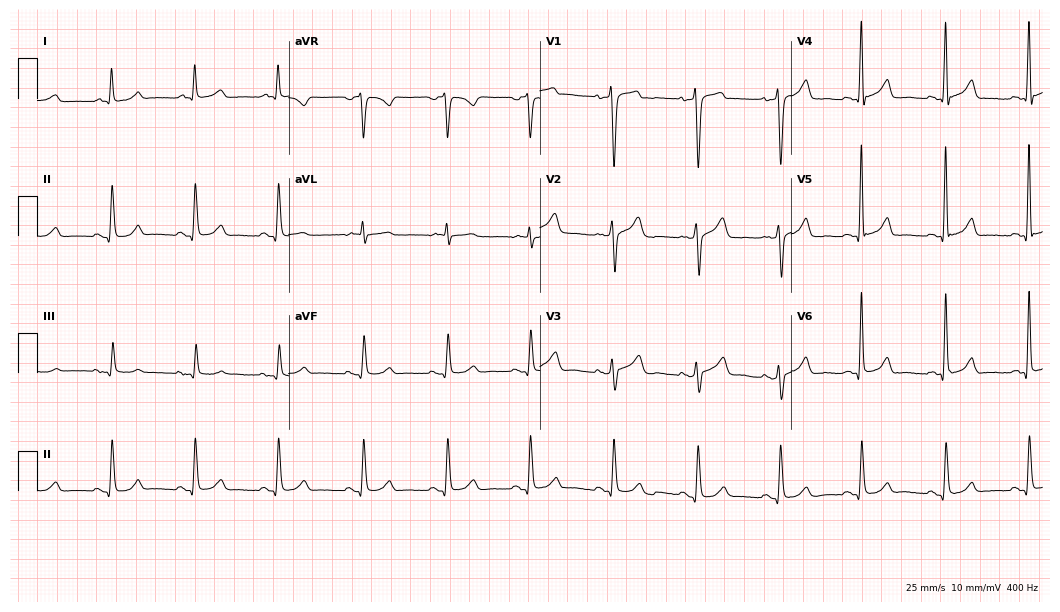
Resting 12-lead electrocardiogram. Patient: a 53-year-old man. Read as a normal ECG.